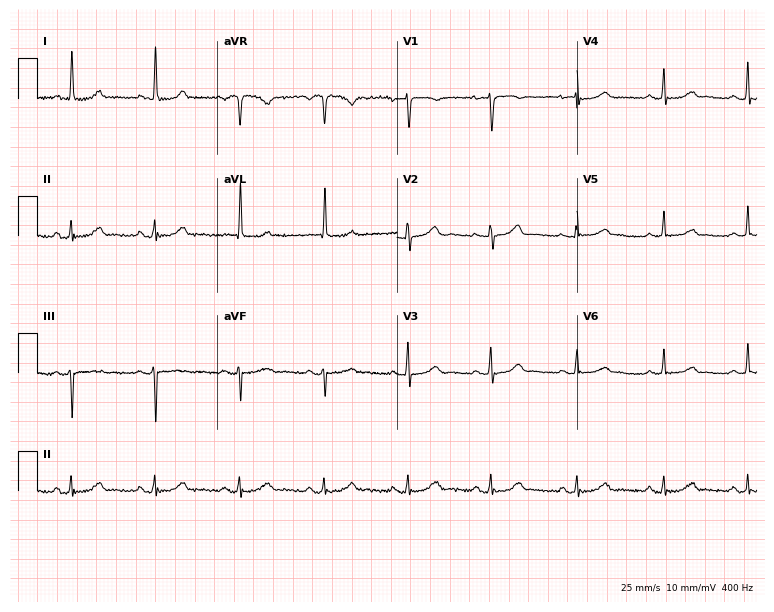
12-lead ECG (7.3-second recording at 400 Hz) from a 55-year-old female. Labelled as a normal ECG.